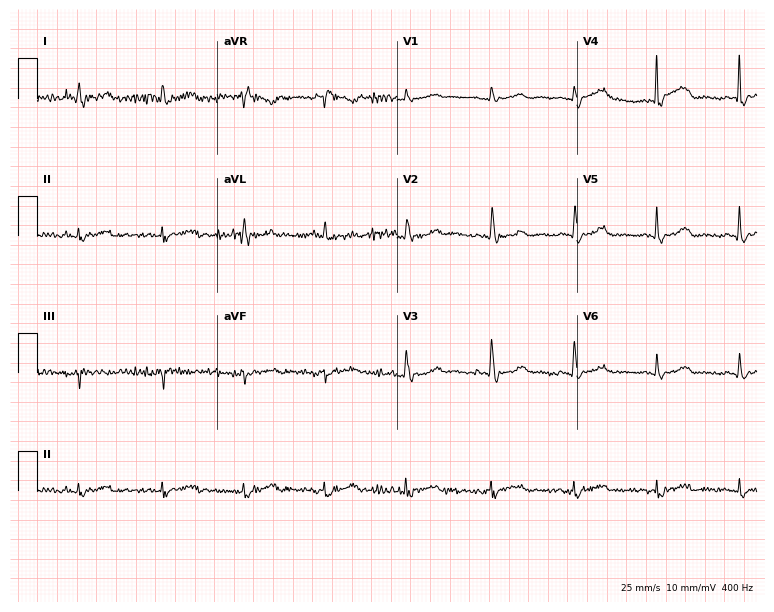
Resting 12-lead electrocardiogram (7.3-second recording at 400 Hz). Patient: a woman, 82 years old. None of these six findings is recorded: first-degree AV block, right bundle branch block (RBBB), left bundle branch block (LBBB), sinus bradycardia, atrial fibrillation (AF), sinus tachycardia. Other findings, if any, are not listed.